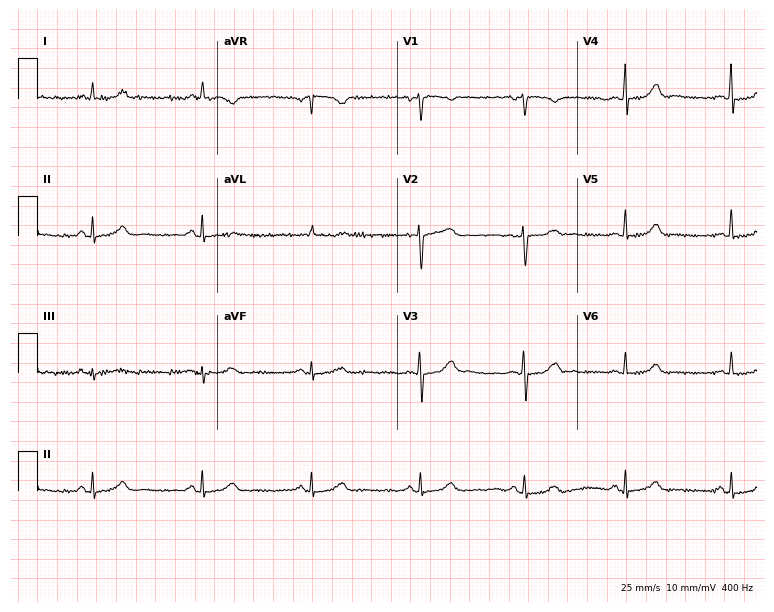
12-lead ECG from a female, 44 years old. Recorded interpretation: within normal limits.